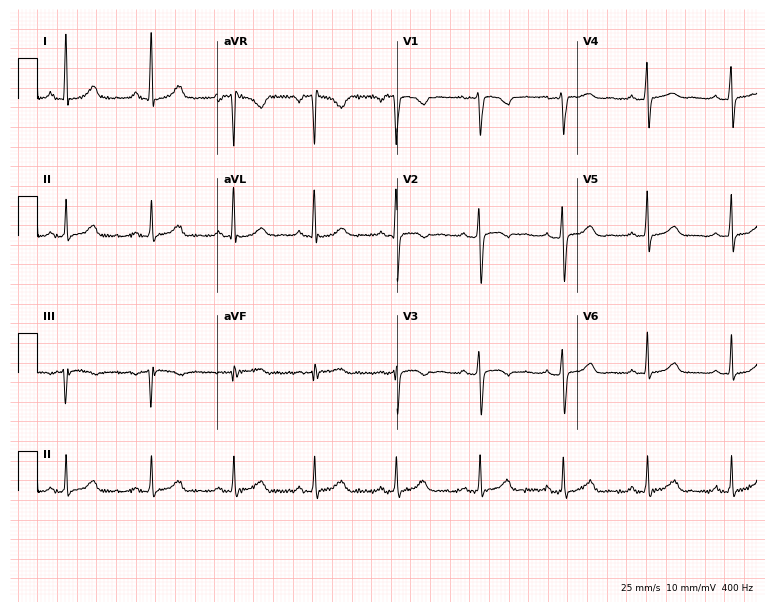
Electrocardiogram (7.3-second recording at 400 Hz), a woman, 19 years old. Of the six screened findings (first-degree AV block, right bundle branch block, left bundle branch block, sinus bradycardia, atrial fibrillation, sinus tachycardia), none is recorded.